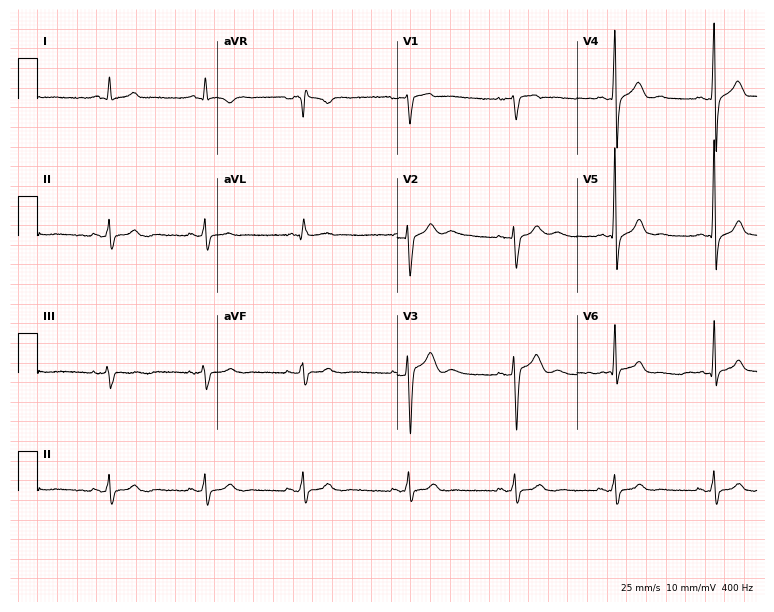
Electrocardiogram (7.3-second recording at 400 Hz), a 25-year-old female. Overall reading on record: normal ECG.